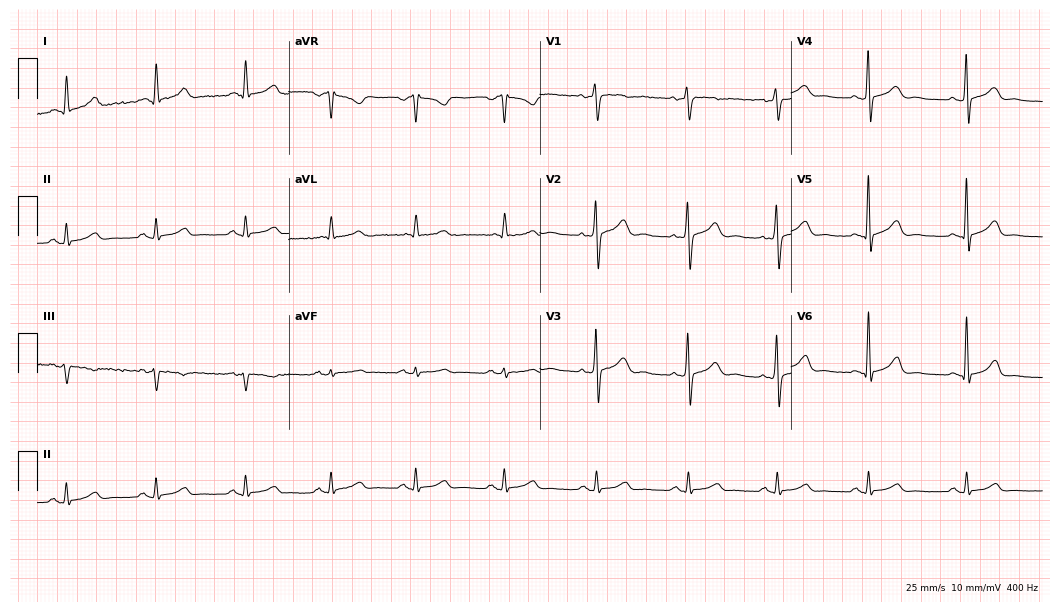
Standard 12-lead ECG recorded from a 50-year-old male patient (10.2-second recording at 400 Hz). None of these six findings is recorded: first-degree AV block, right bundle branch block (RBBB), left bundle branch block (LBBB), sinus bradycardia, atrial fibrillation (AF), sinus tachycardia.